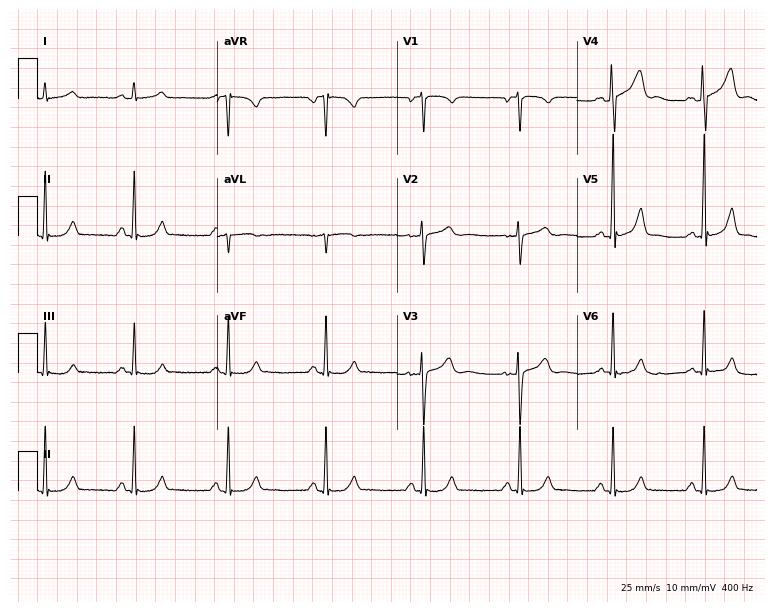
Standard 12-lead ECG recorded from an 18-year-old female patient. None of these six findings is recorded: first-degree AV block, right bundle branch block, left bundle branch block, sinus bradycardia, atrial fibrillation, sinus tachycardia. Findings outside these six are not listed.